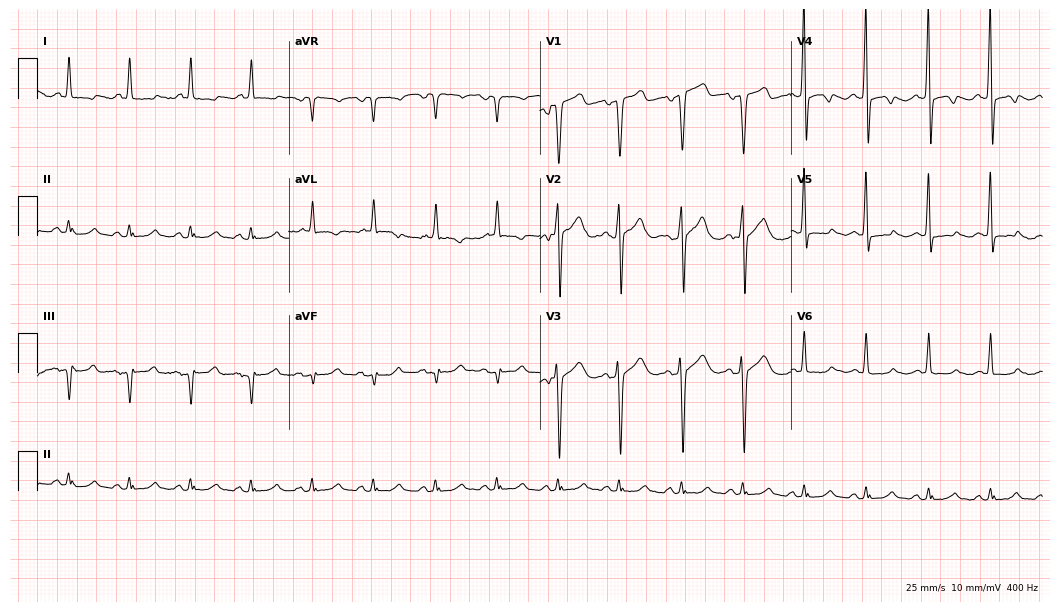
Standard 12-lead ECG recorded from a 52-year-old male (10.2-second recording at 400 Hz). None of these six findings is recorded: first-degree AV block, right bundle branch block, left bundle branch block, sinus bradycardia, atrial fibrillation, sinus tachycardia. Only these six findings were labelled.